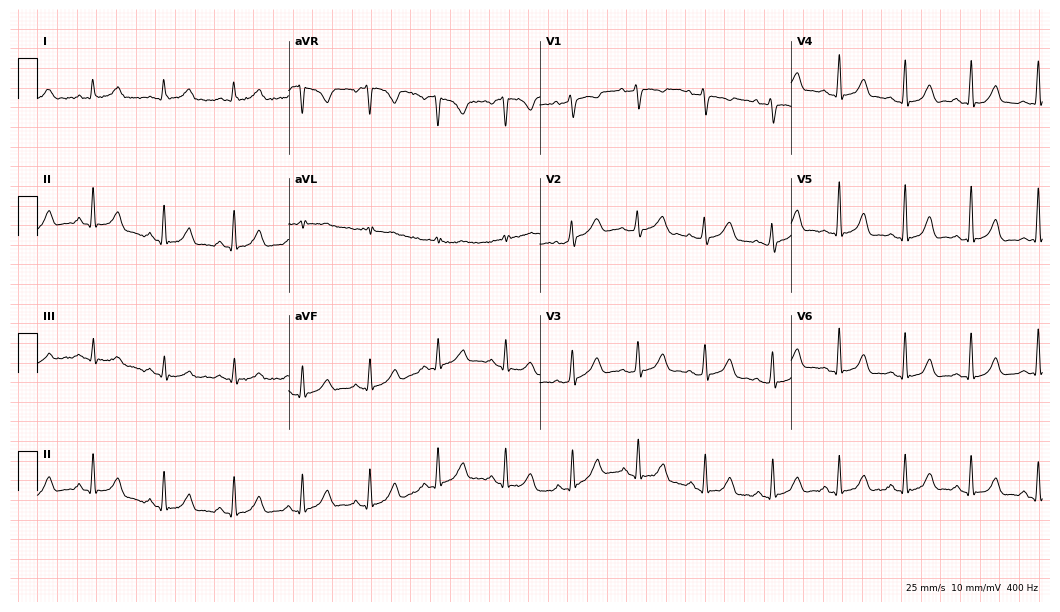
12-lead ECG (10.2-second recording at 400 Hz) from a female, 34 years old. Labelled as a normal ECG.